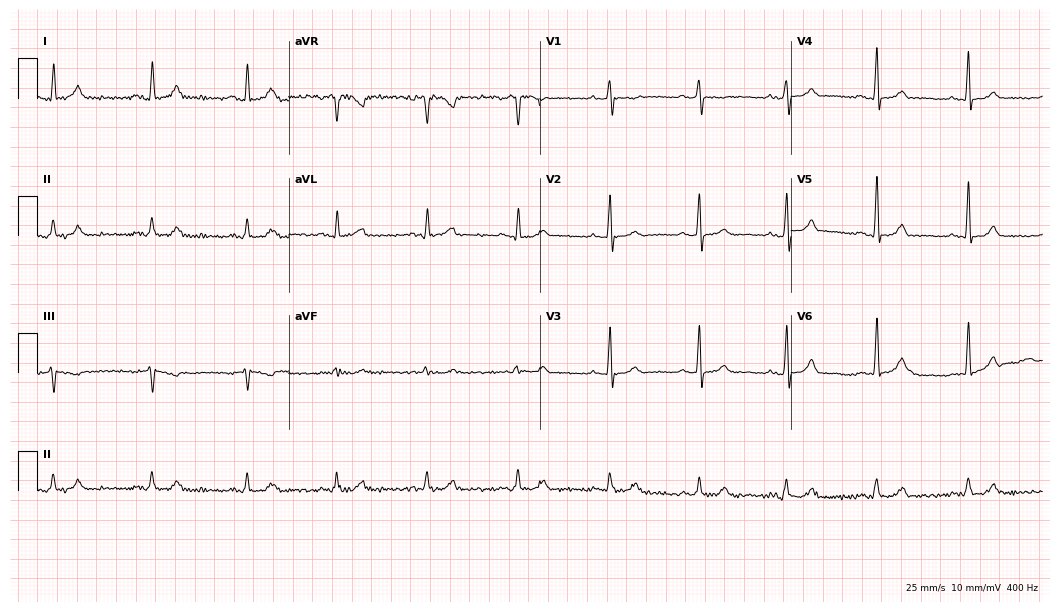
ECG (10.2-second recording at 400 Hz) — a male patient, 56 years old. Labelled as a normal ECG.